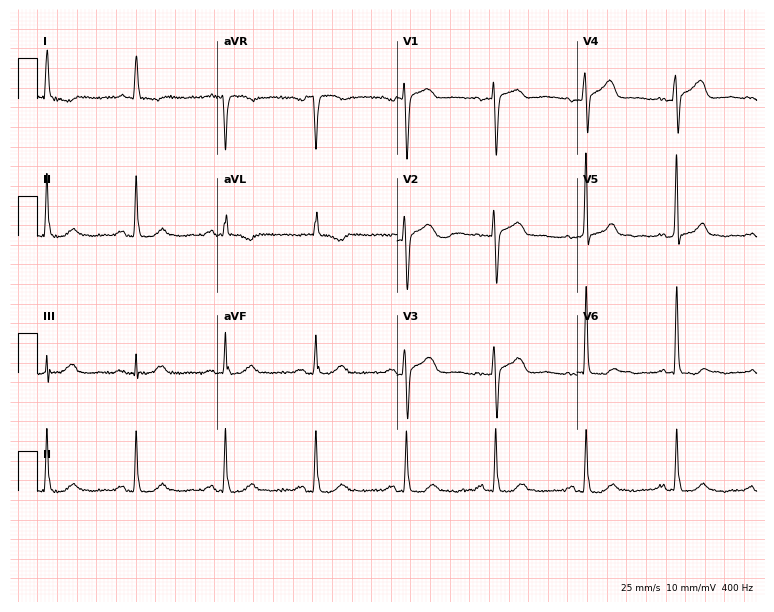
Electrocardiogram (7.3-second recording at 400 Hz), a 70-year-old female patient. Of the six screened findings (first-degree AV block, right bundle branch block (RBBB), left bundle branch block (LBBB), sinus bradycardia, atrial fibrillation (AF), sinus tachycardia), none is recorded.